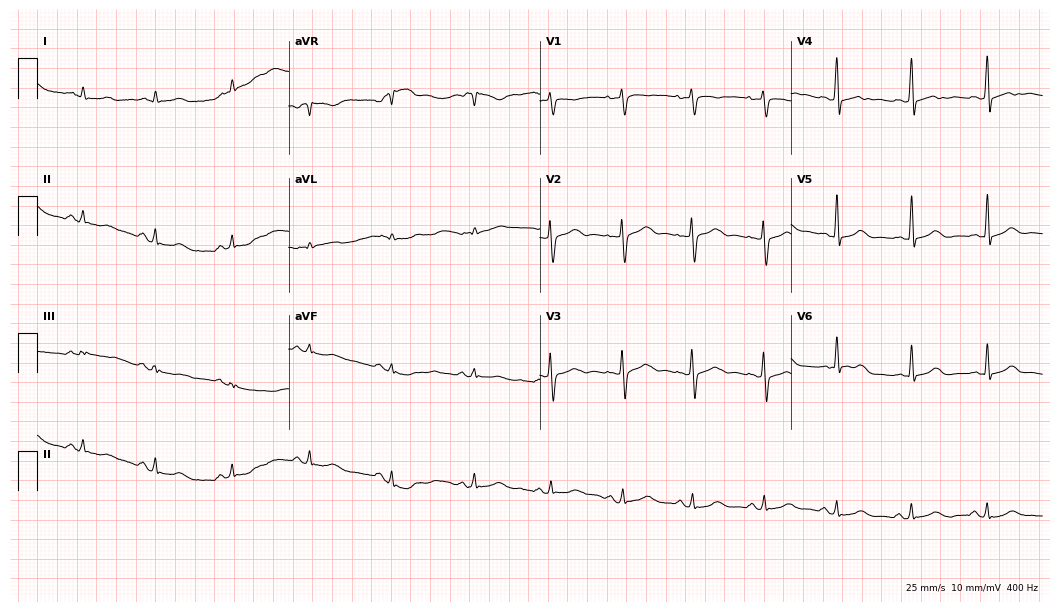
Electrocardiogram, a female, 34 years old. Of the six screened findings (first-degree AV block, right bundle branch block, left bundle branch block, sinus bradycardia, atrial fibrillation, sinus tachycardia), none is recorded. Findings outside these six are not listed.